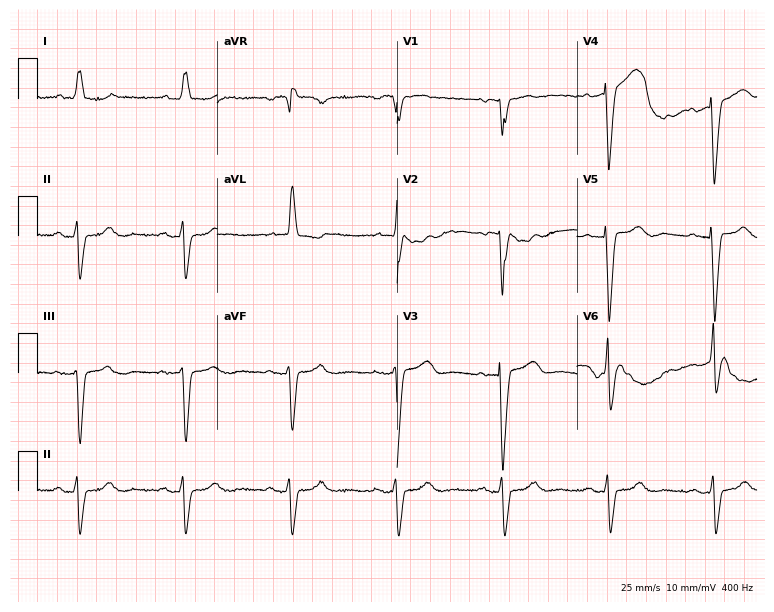
Electrocardiogram (7.3-second recording at 400 Hz), a woman, 78 years old. Interpretation includes left bundle branch block.